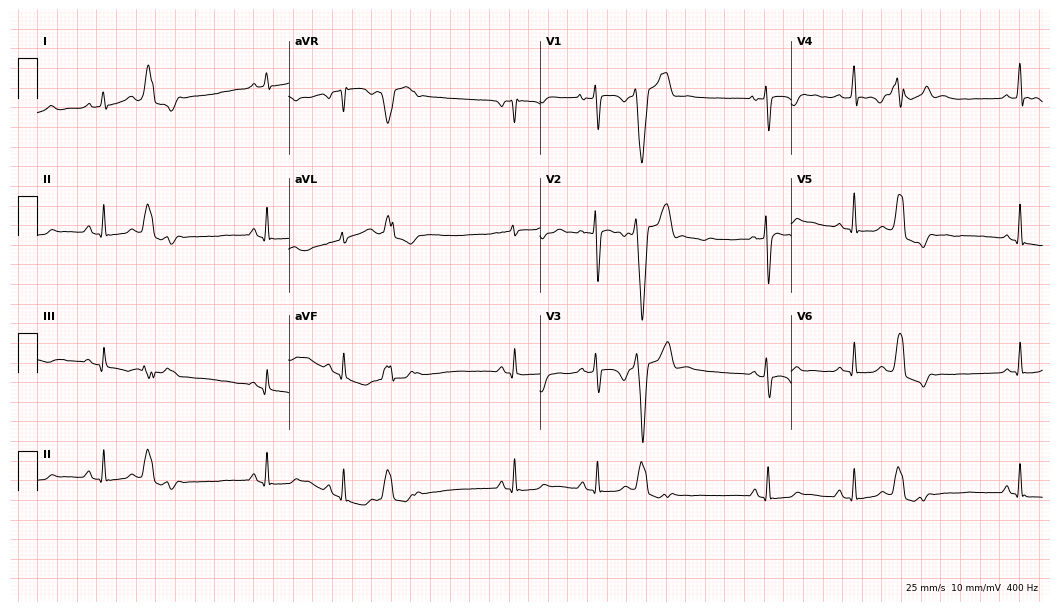
12-lead ECG from an 18-year-old female patient (10.2-second recording at 400 Hz). No first-degree AV block, right bundle branch block (RBBB), left bundle branch block (LBBB), sinus bradycardia, atrial fibrillation (AF) or sinus tachycardia recorded for this tracing. Findings outside these six are not listed.